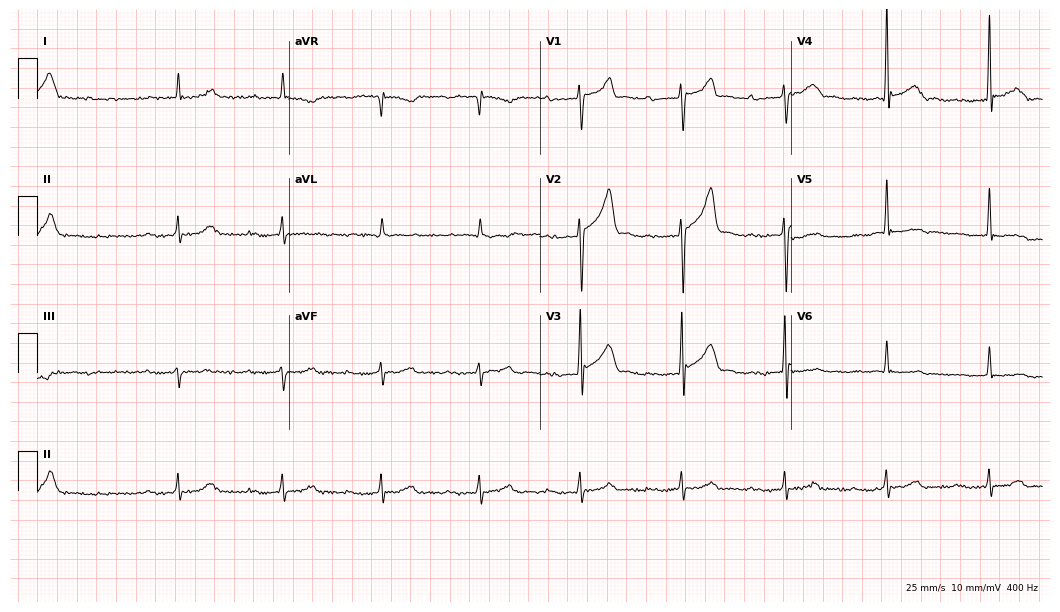
12-lead ECG from a male patient, 81 years old (10.2-second recording at 400 Hz). Shows first-degree AV block.